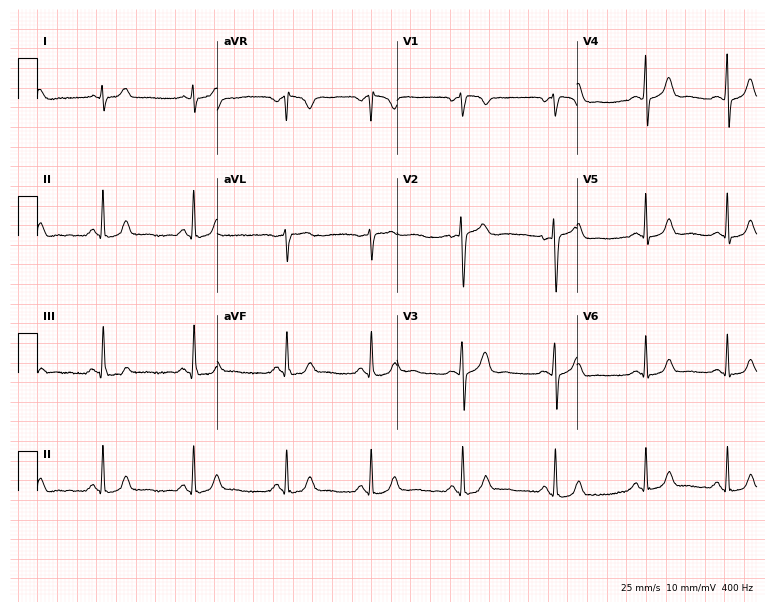
12-lead ECG from a 29-year-old female patient. Labelled as a normal ECG.